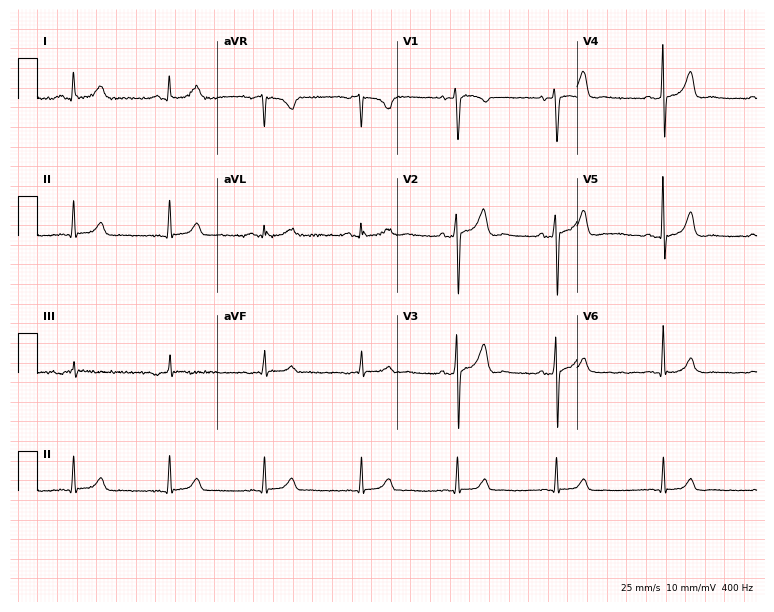
Resting 12-lead electrocardiogram. Patient: a man, 66 years old. None of these six findings is recorded: first-degree AV block, right bundle branch block, left bundle branch block, sinus bradycardia, atrial fibrillation, sinus tachycardia.